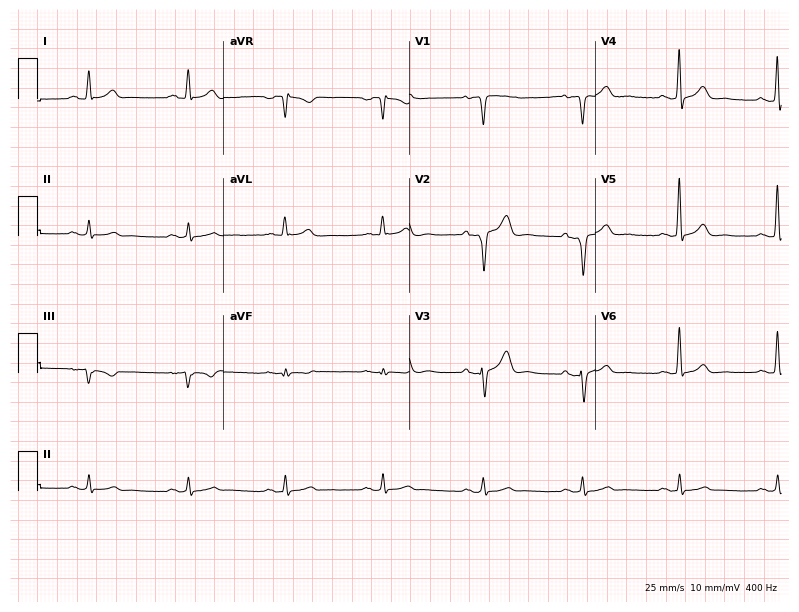
12-lead ECG (7.6-second recording at 400 Hz) from a 72-year-old male patient. Screened for six findings — first-degree AV block, right bundle branch block, left bundle branch block, sinus bradycardia, atrial fibrillation, sinus tachycardia — none is recorded.